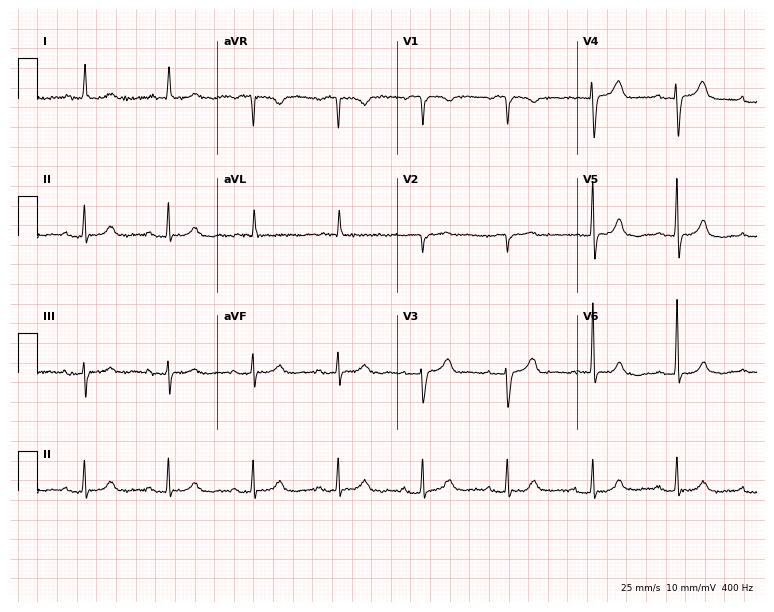
Standard 12-lead ECG recorded from a female, 78 years old. None of these six findings is recorded: first-degree AV block, right bundle branch block, left bundle branch block, sinus bradycardia, atrial fibrillation, sinus tachycardia.